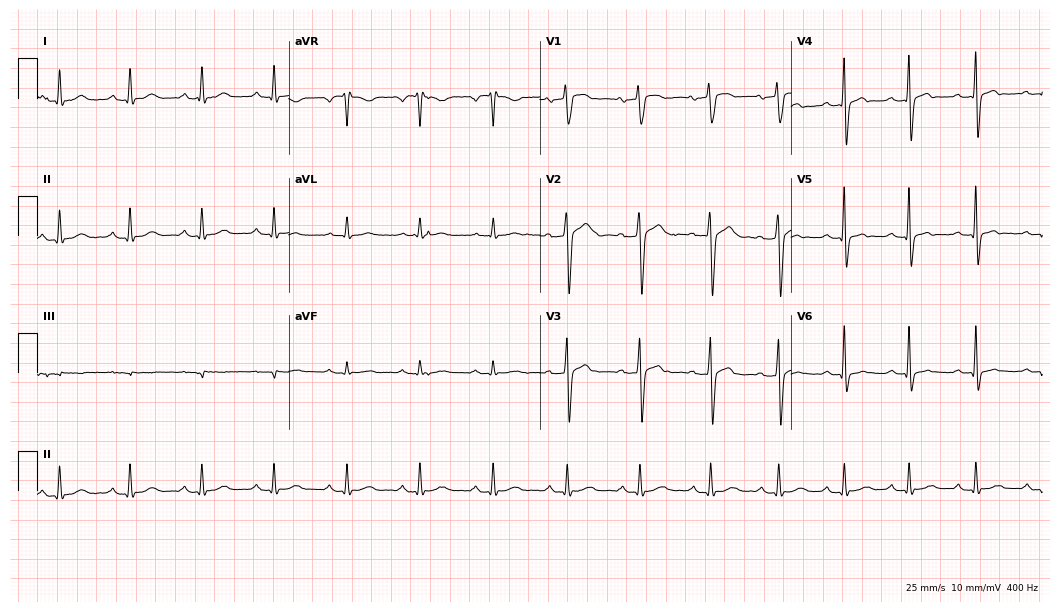
ECG (10.2-second recording at 400 Hz) — a 67-year-old man. Screened for six findings — first-degree AV block, right bundle branch block, left bundle branch block, sinus bradycardia, atrial fibrillation, sinus tachycardia — none is recorded.